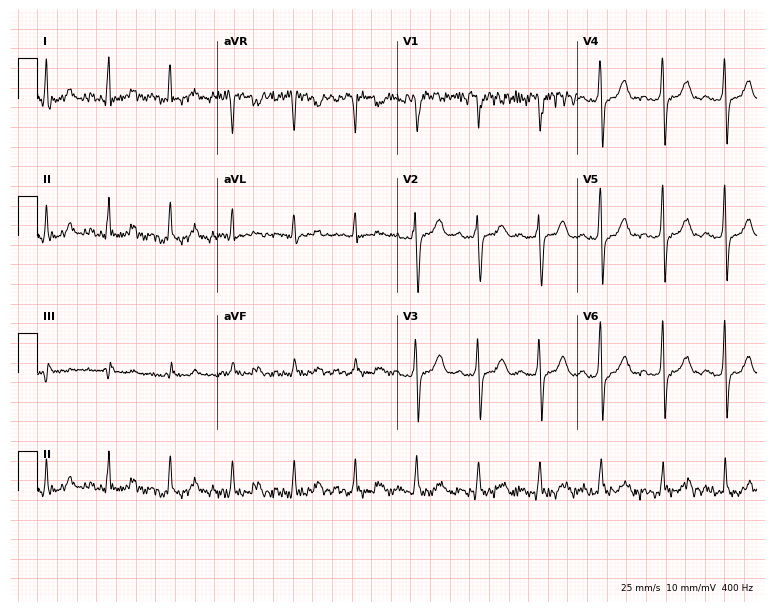
12-lead ECG from a 38-year-old male patient (7.3-second recording at 400 Hz). No first-degree AV block, right bundle branch block (RBBB), left bundle branch block (LBBB), sinus bradycardia, atrial fibrillation (AF) or sinus tachycardia recorded for this tracing. Only these six findings were labelled.